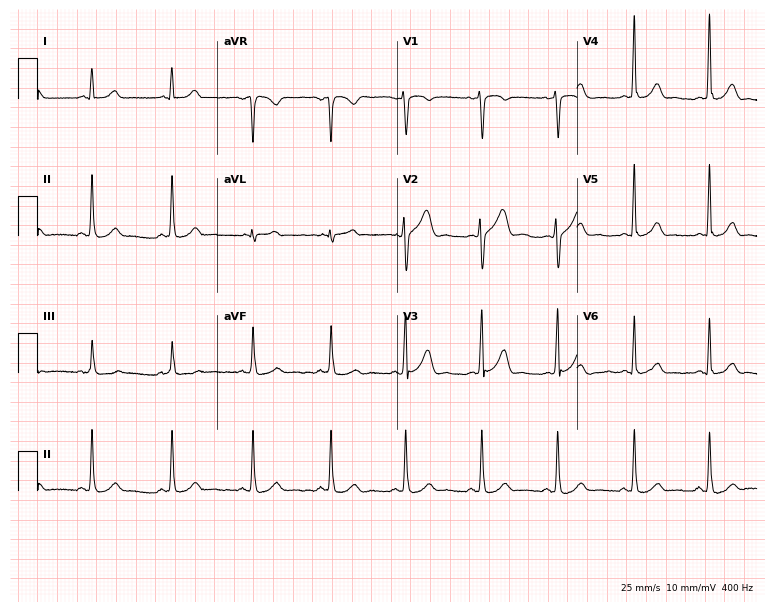
ECG (7.3-second recording at 400 Hz) — a female patient, 41 years old. Screened for six findings — first-degree AV block, right bundle branch block (RBBB), left bundle branch block (LBBB), sinus bradycardia, atrial fibrillation (AF), sinus tachycardia — none is recorded.